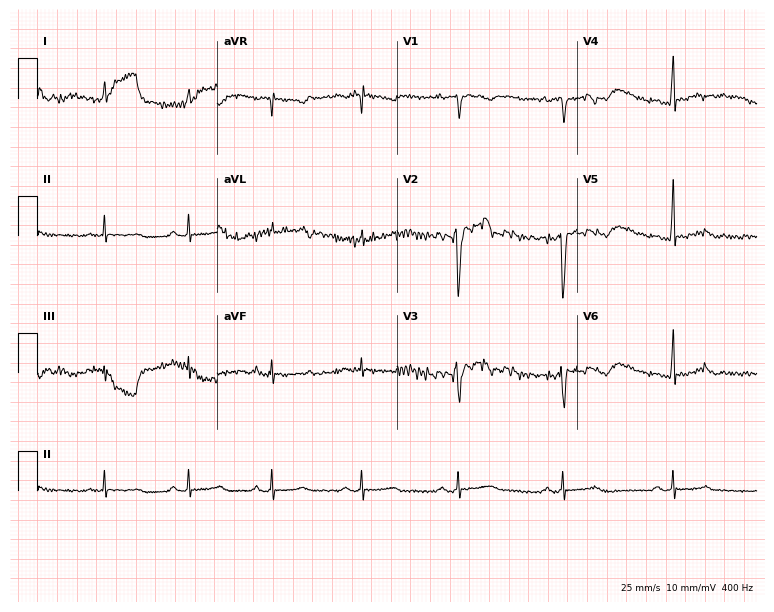
Resting 12-lead electrocardiogram. Patient: a 17-year-old male. None of these six findings is recorded: first-degree AV block, right bundle branch block, left bundle branch block, sinus bradycardia, atrial fibrillation, sinus tachycardia.